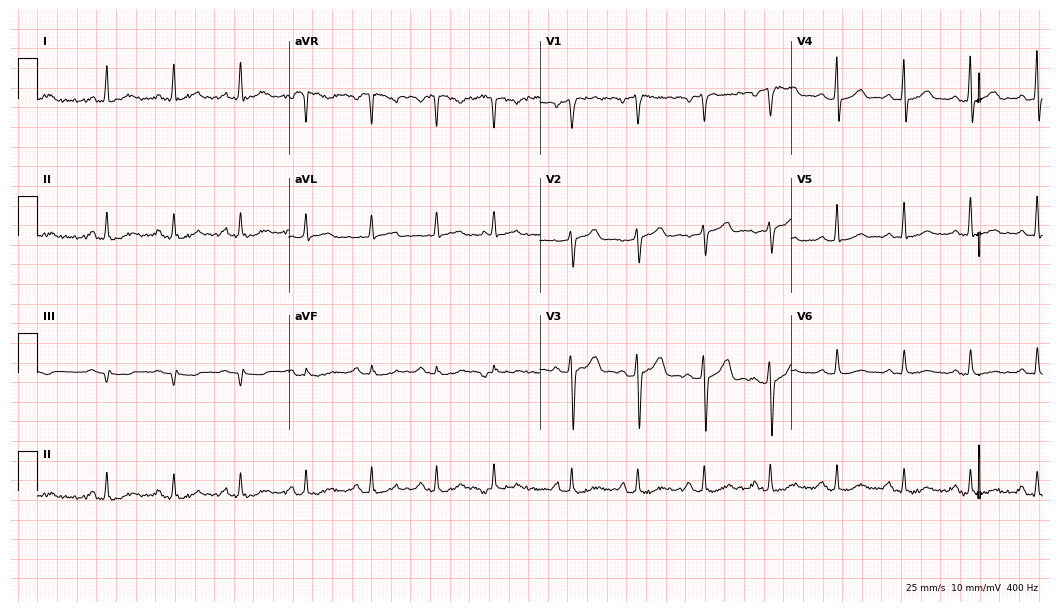
Electrocardiogram, a 62-year-old male. Overall reading on record: normal ECG.